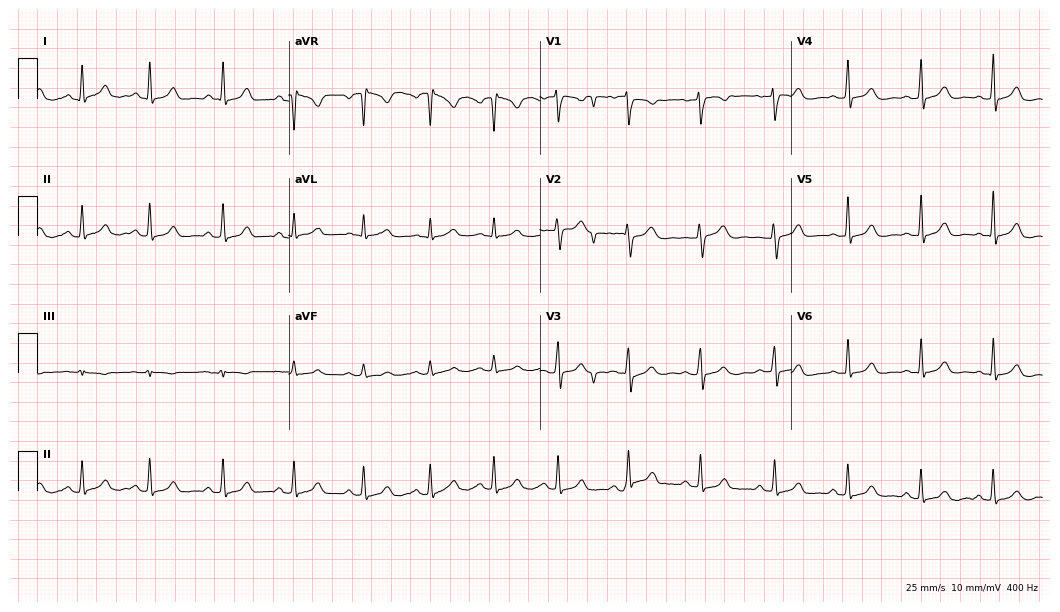
12-lead ECG from a female, 34 years old. Recorded interpretation: within normal limits.